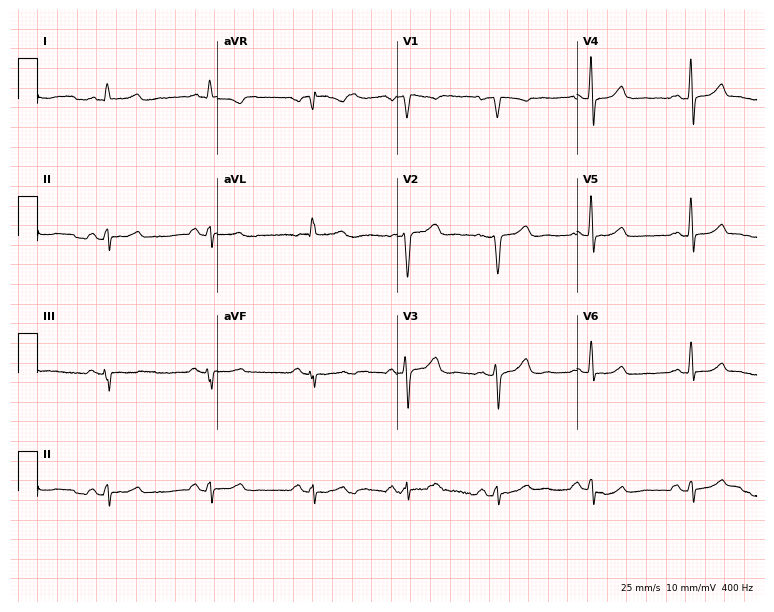
12-lead ECG from a female, 46 years old. No first-degree AV block, right bundle branch block (RBBB), left bundle branch block (LBBB), sinus bradycardia, atrial fibrillation (AF) or sinus tachycardia recorded for this tracing. Findings outside these six are not listed.